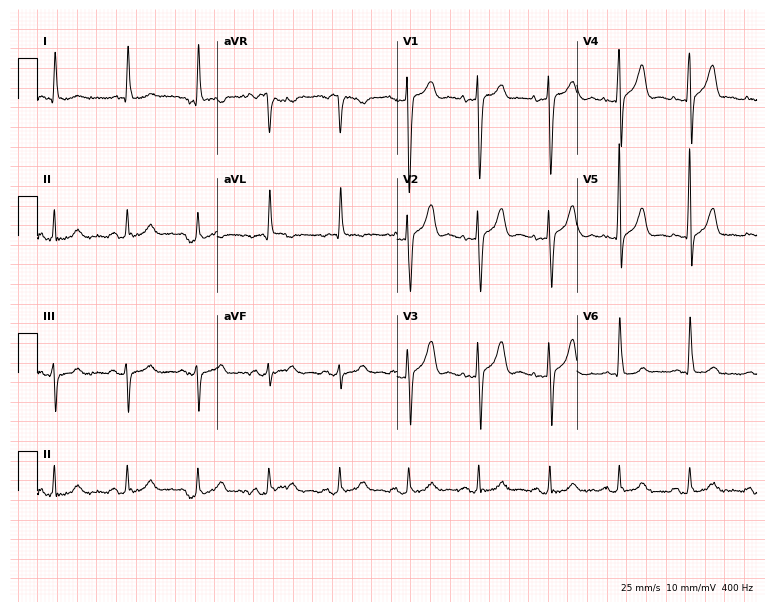
Resting 12-lead electrocardiogram (7.3-second recording at 400 Hz). Patient: an 83-year-old woman. None of these six findings is recorded: first-degree AV block, right bundle branch block, left bundle branch block, sinus bradycardia, atrial fibrillation, sinus tachycardia. Findings outside these six are not listed.